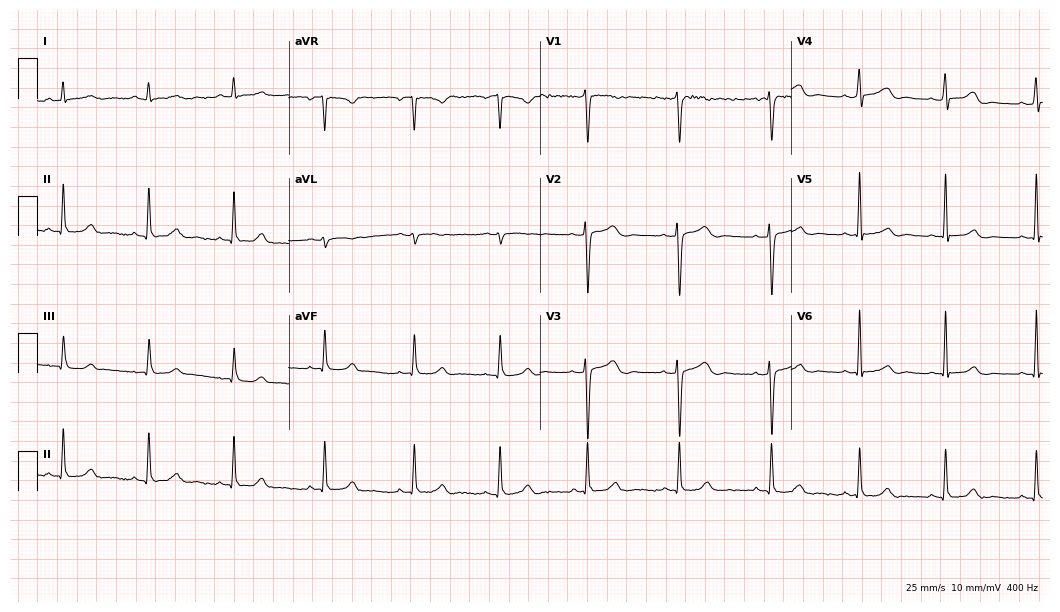
Standard 12-lead ECG recorded from a 25-year-old female (10.2-second recording at 400 Hz). Read as a normal ECG.